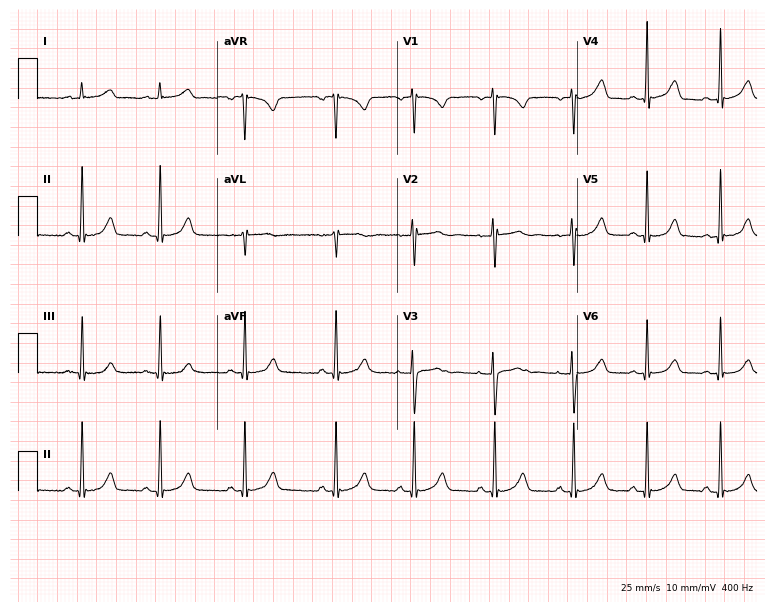
12-lead ECG from a 21-year-old female. Recorded interpretation: within normal limits.